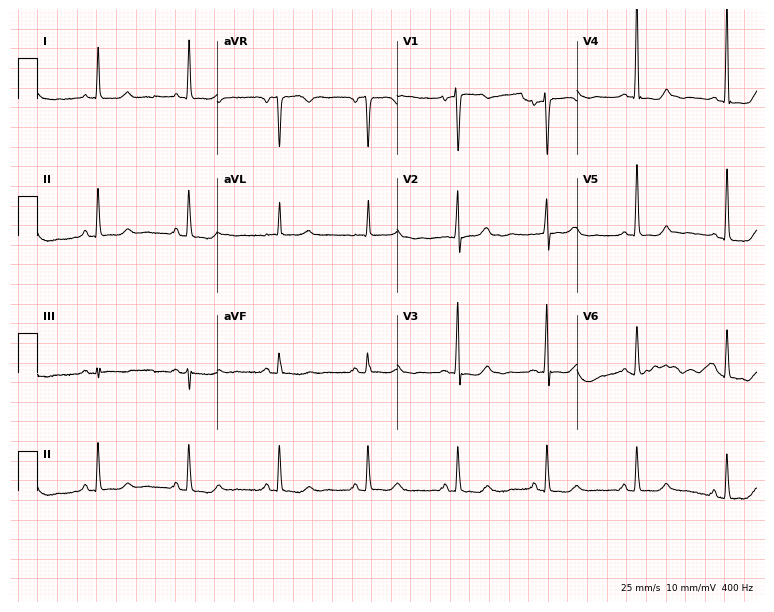
ECG — a woman, 70 years old. Labelled as a normal ECG.